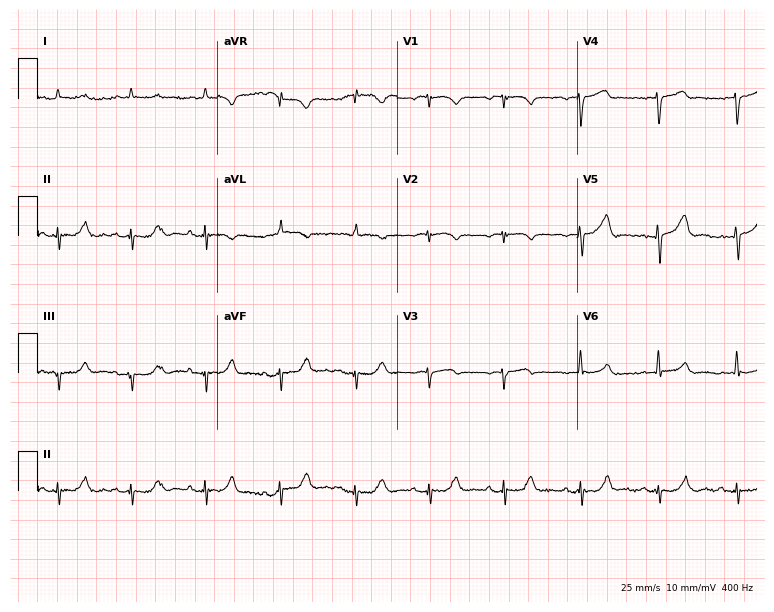
Electrocardiogram (7.3-second recording at 400 Hz), a male, 85 years old. Of the six screened findings (first-degree AV block, right bundle branch block, left bundle branch block, sinus bradycardia, atrial fibrillation, sinus tachycardia), none is recorded.